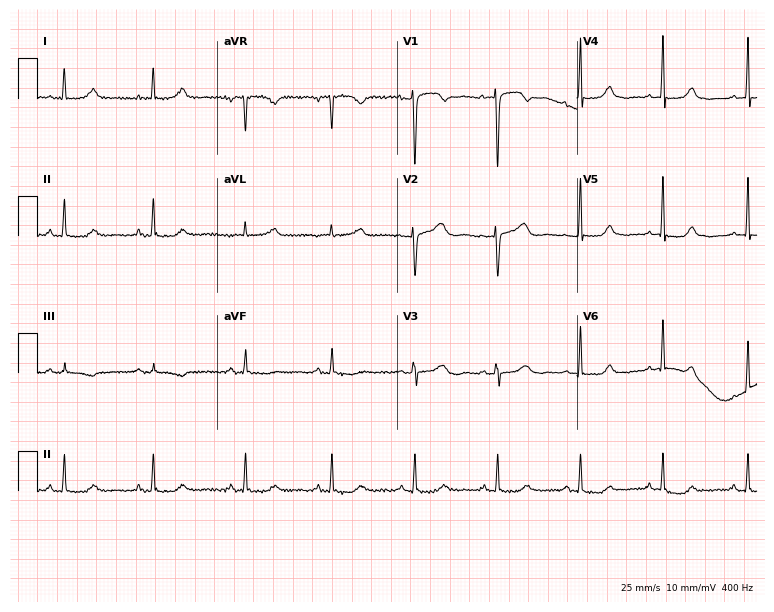
Electrocardiogram, a woman, 50 years old. Of the six screened findings (first-degree AV block, right bundle branch block, left bundle branch block, sinus bradycardia, atrial fibrillation, sinus tachycardia), none is recorded.